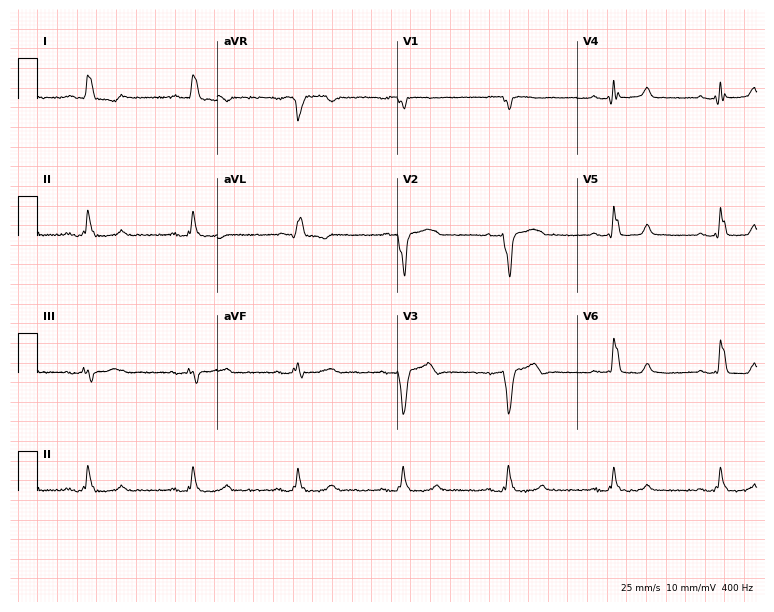
ECG — a 78-year-old man. Screened for six findings — first-degree AV block, right bundle branch block (RBBB), left bundle branch block (LBBB), sinus bradycardia, atrial fibrillation (AF), sinus tachycardia — none is recorded. Other findings, if any, are not listed.